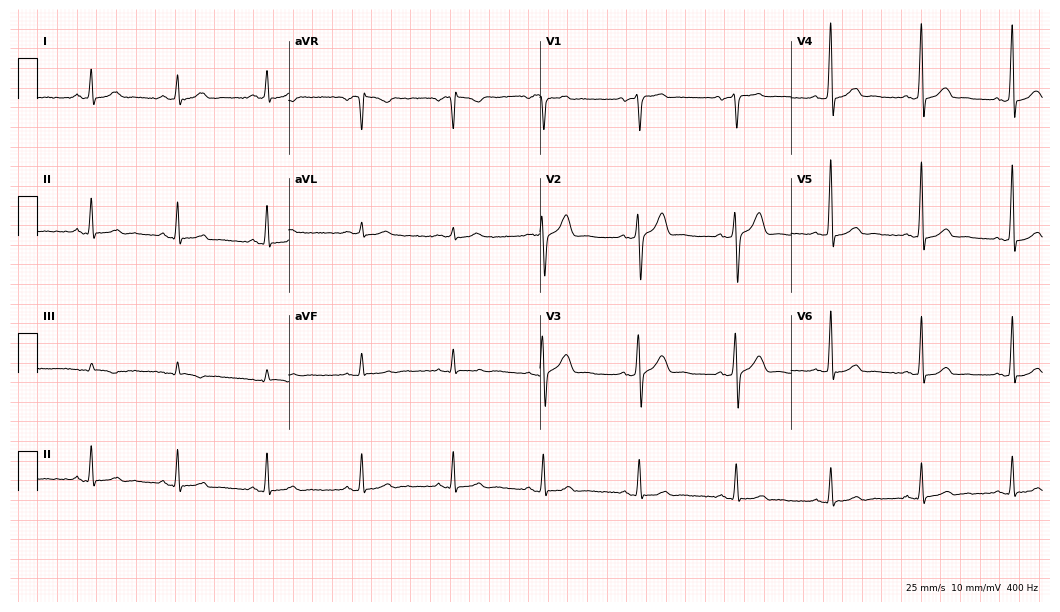
12-lead ECG (10.2-second recording at 400 Hz) from a 75-year-old male. Labelled as a normal ECG.